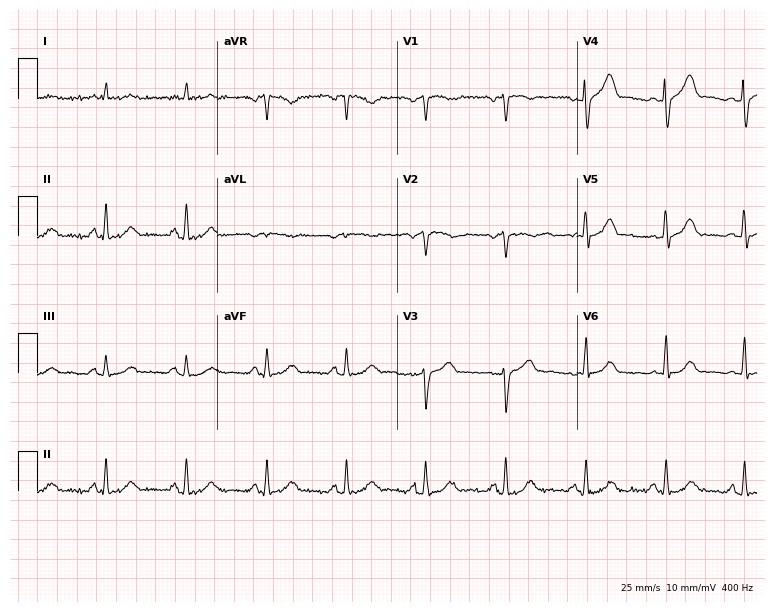
Resting 12-lead electrocardiogram. Patient: an 82-year-old male. None of these six findings is recorded: first-degree AV block, right bundle branch block, left bundle branch block, sinus bradycardia, atrial fibrillation, sinus tachycardia.